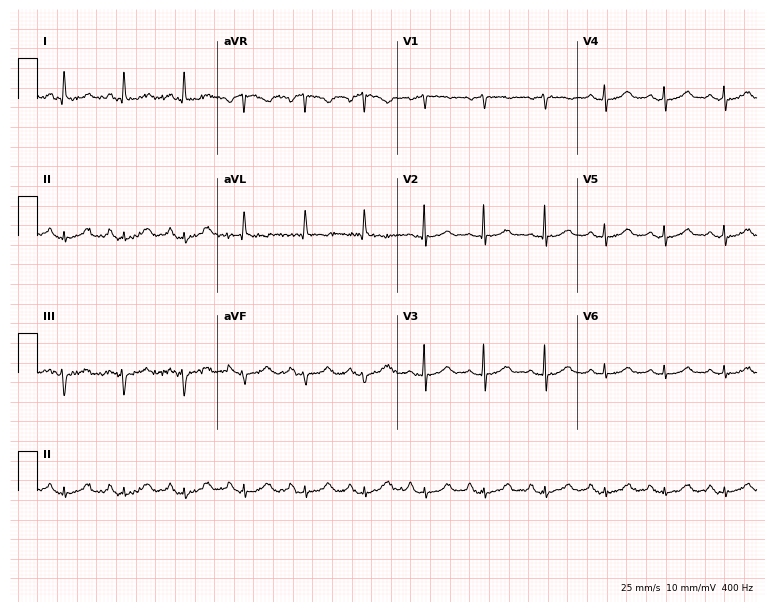
Resting 12-lead electrocardiogram (7.3-second recording at 400 Hz). Patient: a 66-year-old female. Read as a normal ECG.